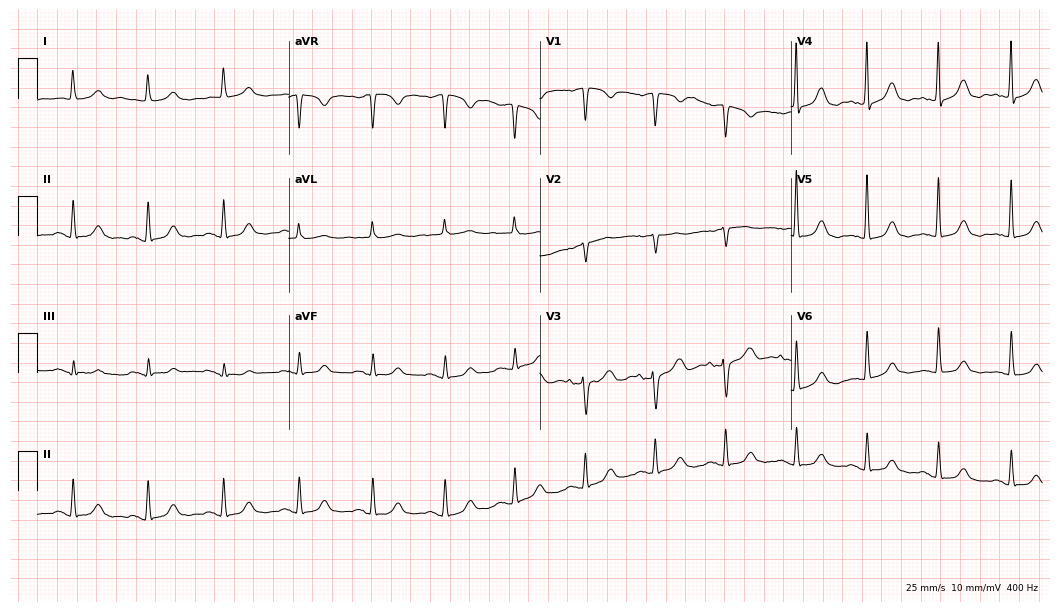
12-lead ECG from a female patient, 79 years old (10.2-second recording at 400 Hz). No first-degree AV block, right bundle branch block (RBBB), left bundle branch block (LBBB), sinus bradycardia, atrial fibrillation (AF) or sinus tachycardia recorded for this tracing. Other findings, if any, are not listed.